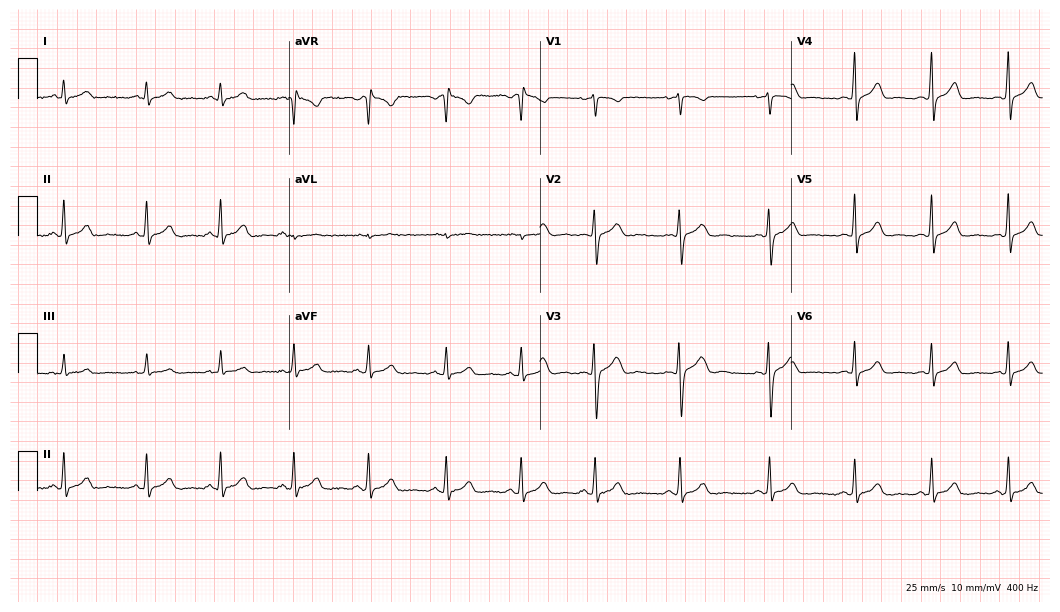
ECG — a female patient, 19 years old. Labelled as a normal ECG.